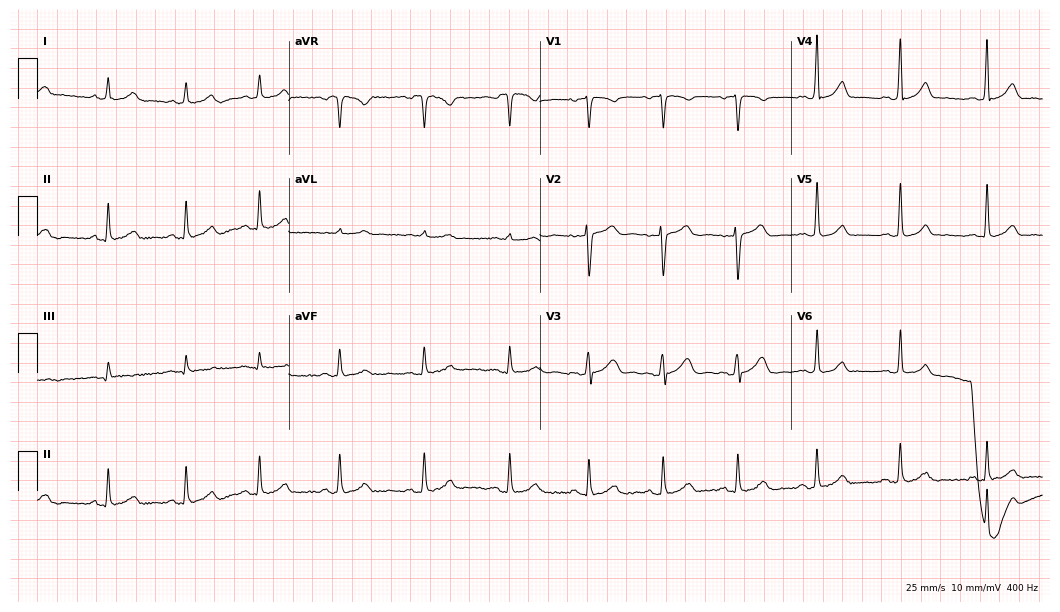
Standard 12-lead ECG recorded from a 29-year-old woman. Read as a normal ECG.